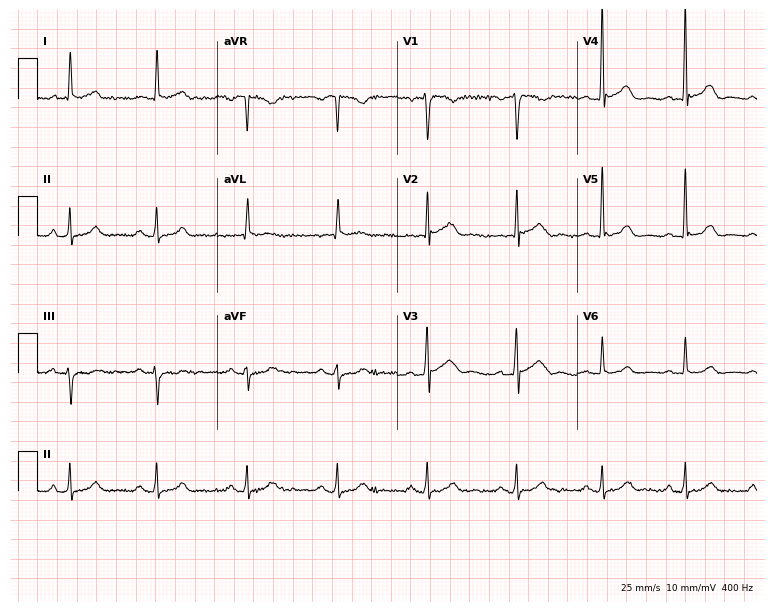
Standard 12-lead ECG recorded from a 67-year-old man (7.3-second recording at 400 Hz). Read as a normal ECG.